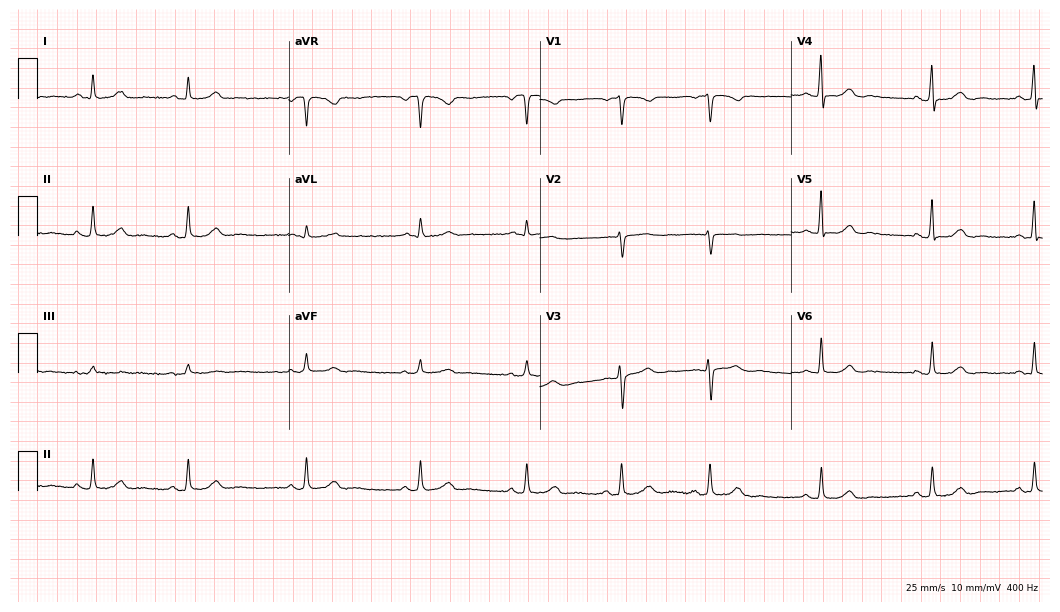
12-lead ECG from a 49-year-old woman (10.2-second recording at 400 Hz). No first-degree AV block, right bundle branch block (RBBB), left bundle branch block (LBBB), sinus bradycardia, atrial fibrillation (AF) or sinus tachycardia recorded for this tracing. Only these six findings were labelled.